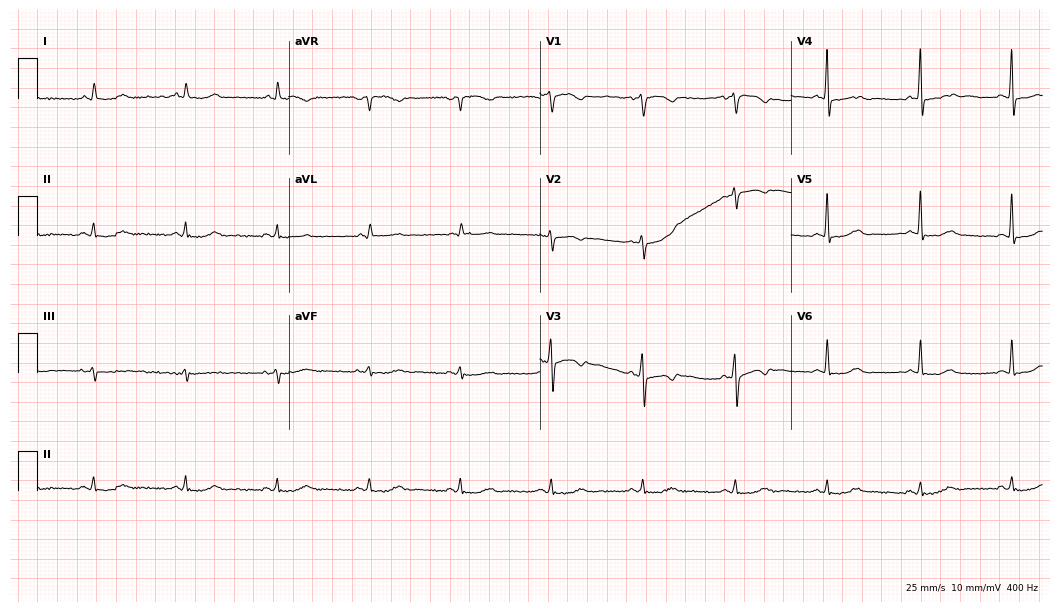
Standard 12-lead ECG recorded from a 77-year-old woman. None of these six findings is recorded: first-degree AV block, right bundle branch block, left bundle branch block, sinus bradycardia, atrial fibrillation, sinus tachycardia.